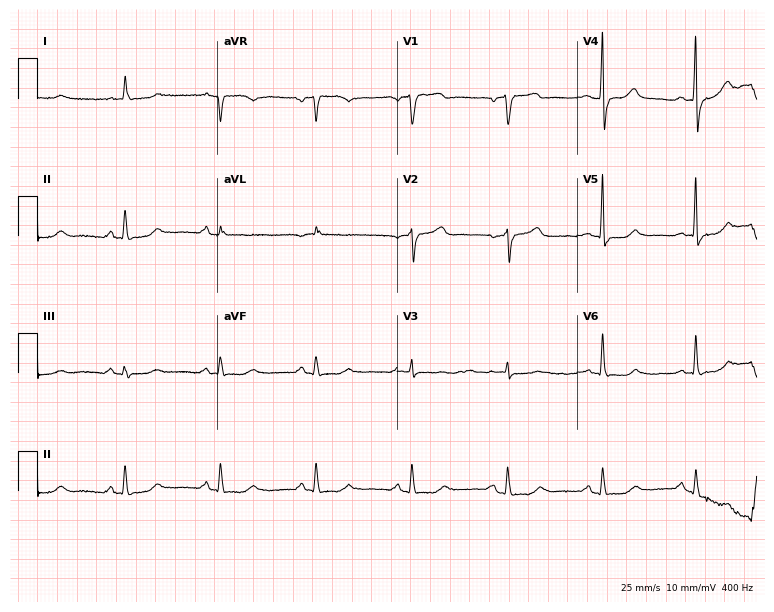
Standard 12-lead ECG recorded from a 68-year-old man. None of these six findings is recorded: first-degree AV block, right bundle branch block, left bundle branch block, sinus bradycardia, atrial fibrillation, sinus tachycardia.